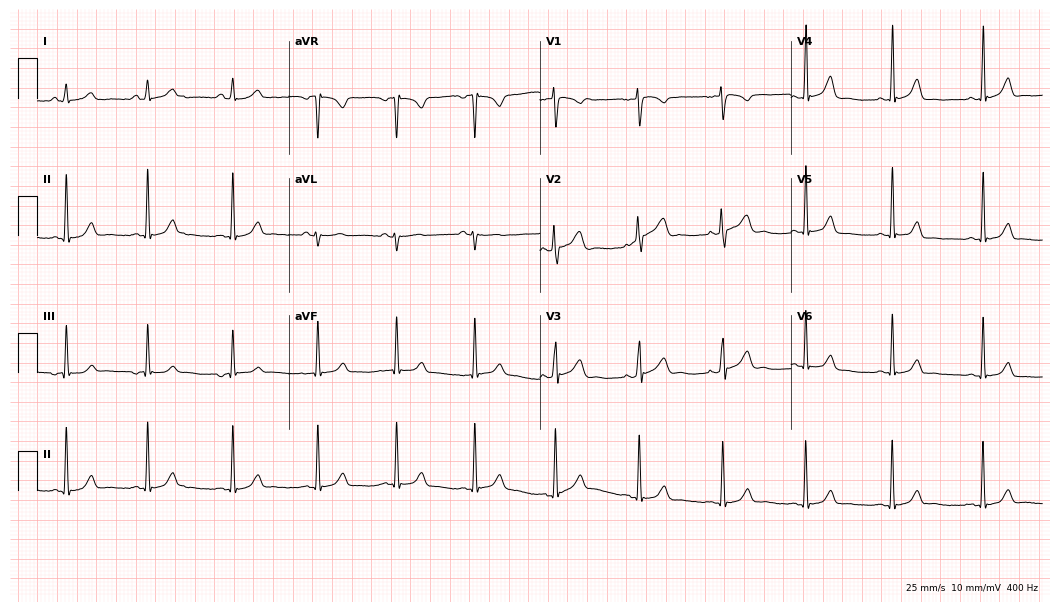
Electrocardiogram (10.2-second recording at 400 Hz), a 27-year-old female patient. Overall reading on record: normal ECG.